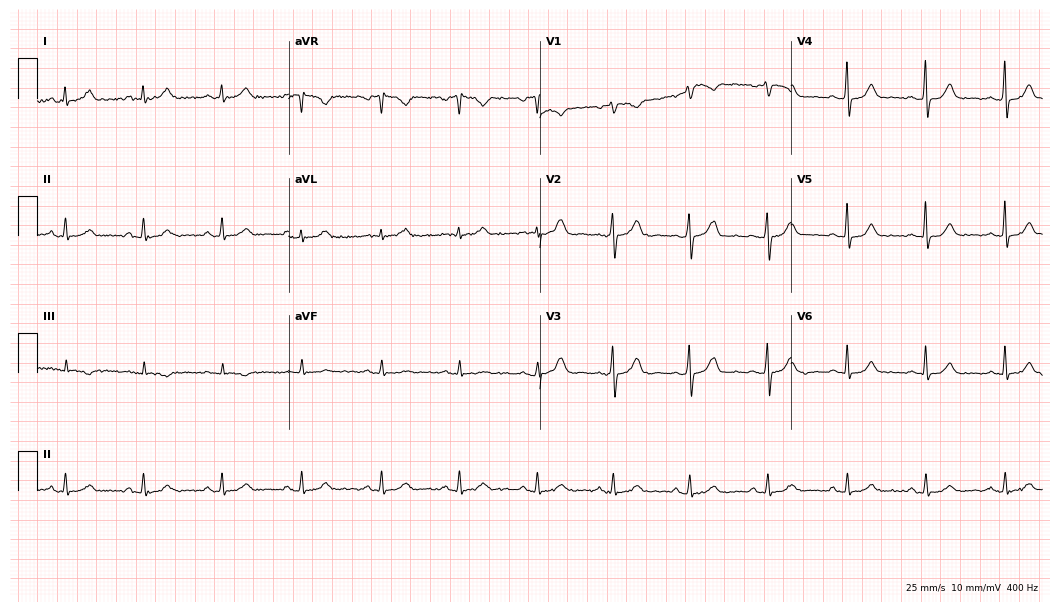
12-lead ECG (10.2-second recording at 400 Hz) from a 36-year-old woman. Screened for six findings — first-degree AV block, right bundle branch block, left bundle branch block, sinus bradycardia, atrial fibrillation, sinus tachycardia — none is recorded.